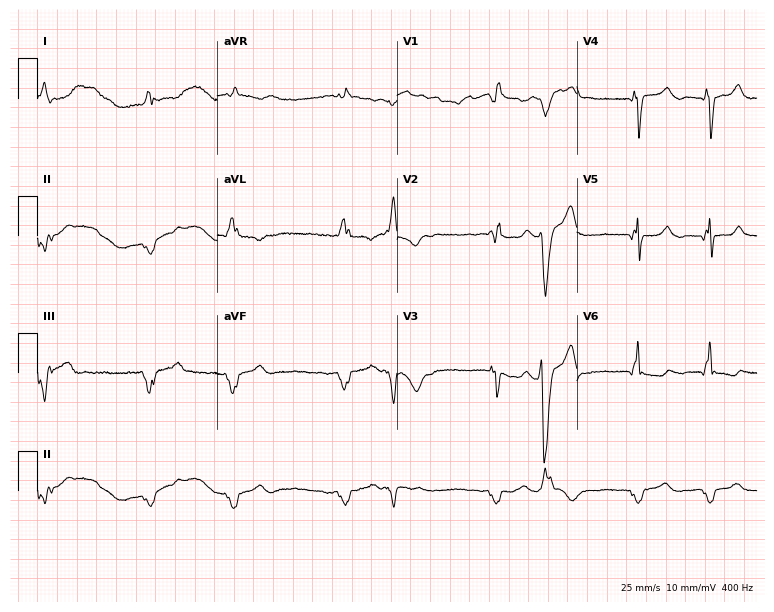
ECG (7.3-second recording at 400 Hz) — a 76-year-old male patient. Findings include right bundle branch block (RBBB), atrial fibrillation (AF).